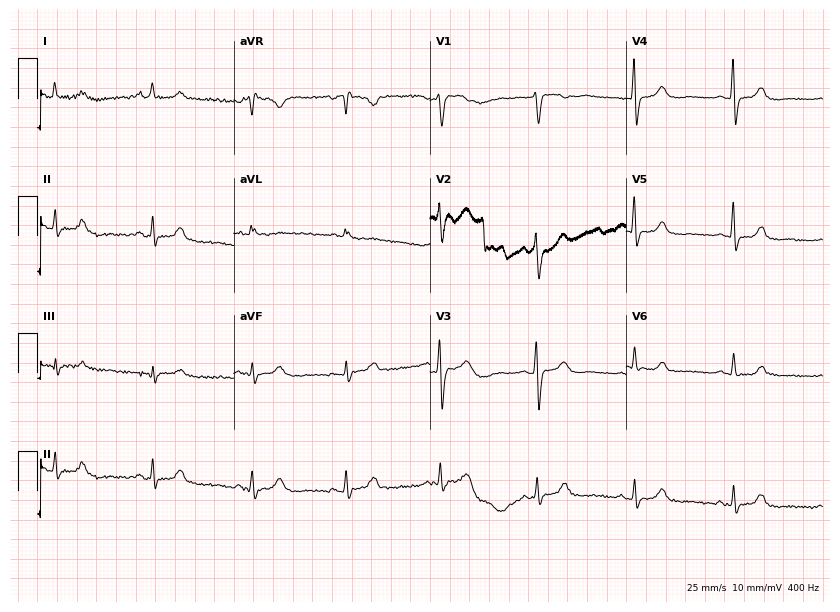
12-lead ECG (8-second recording at 400 Hz) from a 47-year-old female. Labelled as a normal ECG.